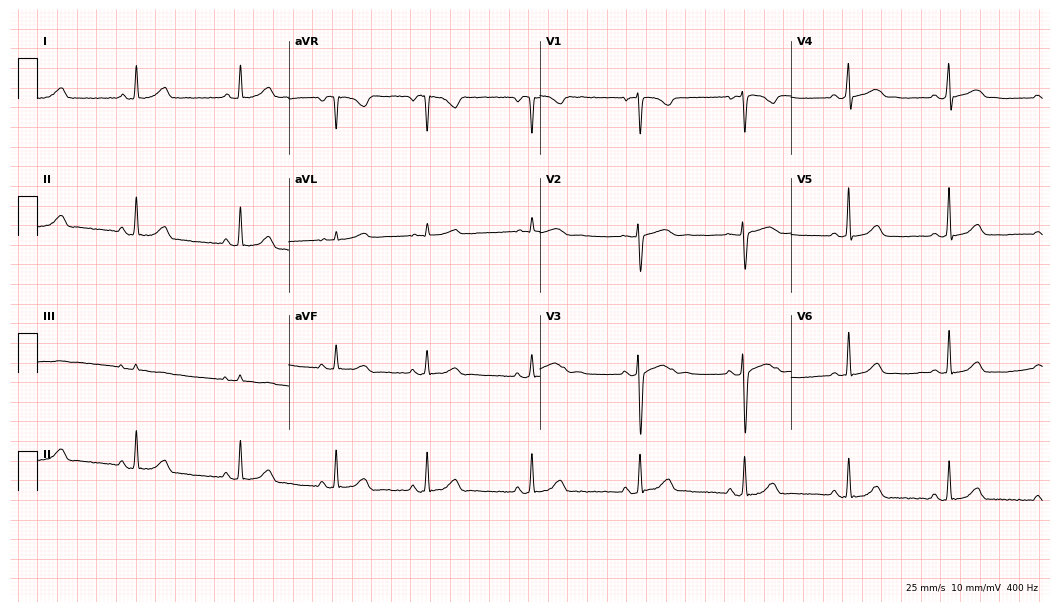
Electrocardiogram, a female patient, 33 years old. Of the six screened findings (first-degree AV block, right bundle branch block, left bundle branch block, sinus bradycardia, atrial fibrillation, sinus tachycardia), none is recorded. Other findings, if any, are not listed.